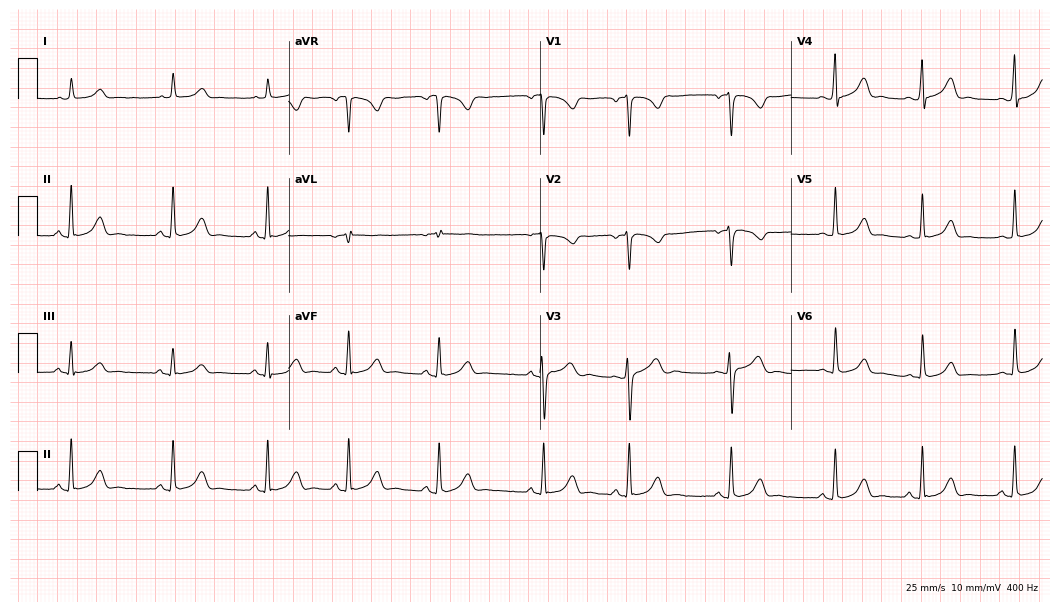
Electrocardiogram, a female patient, 24 years old. Overall reading on record: normal ECG.